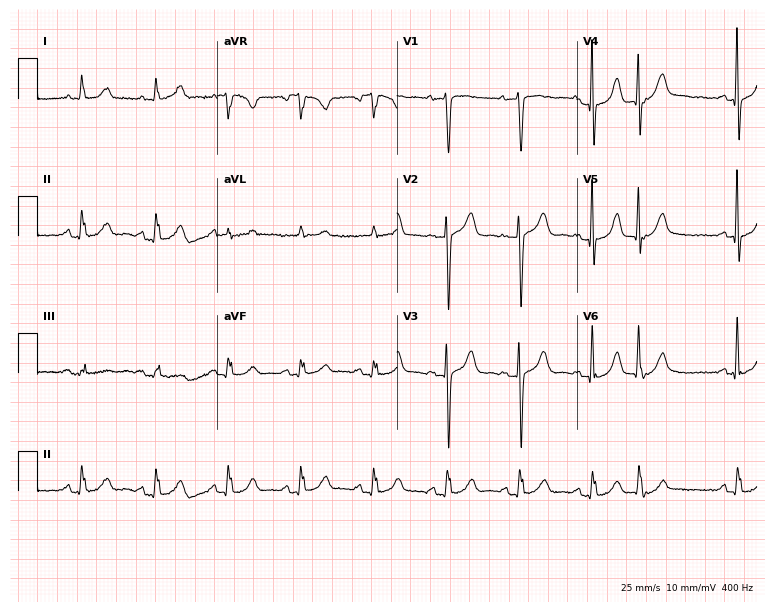
Resting 12-lead electrocardiogram (7.3-second recording at 400 Hz). Patient: an 82-year-old female. Read as a normal ECG.